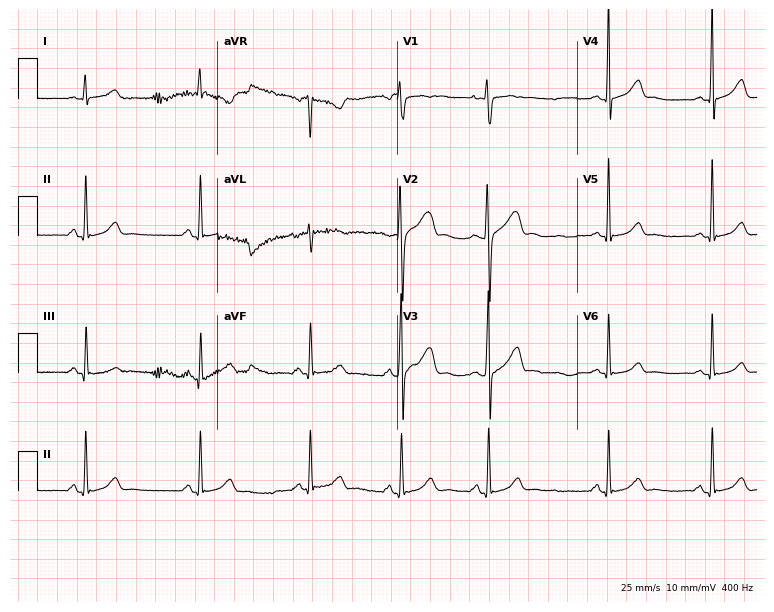
12-lead ECG from a male patient, 24 years old. Labelled as a normal ECG.